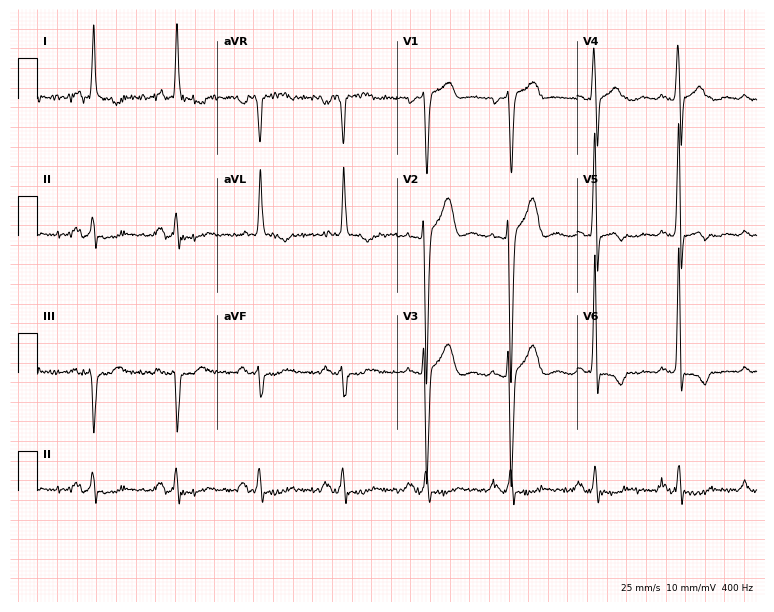
Resting 12-lead electrocardiogram. Patient: a 56-year-old man. None of these six findings is recorded: first-degree AV block, right bundle branch block, left bundle branch block, sinus bradycardia, atrial fibrillation, sinus tachycardia. Only these six findings were labelled.